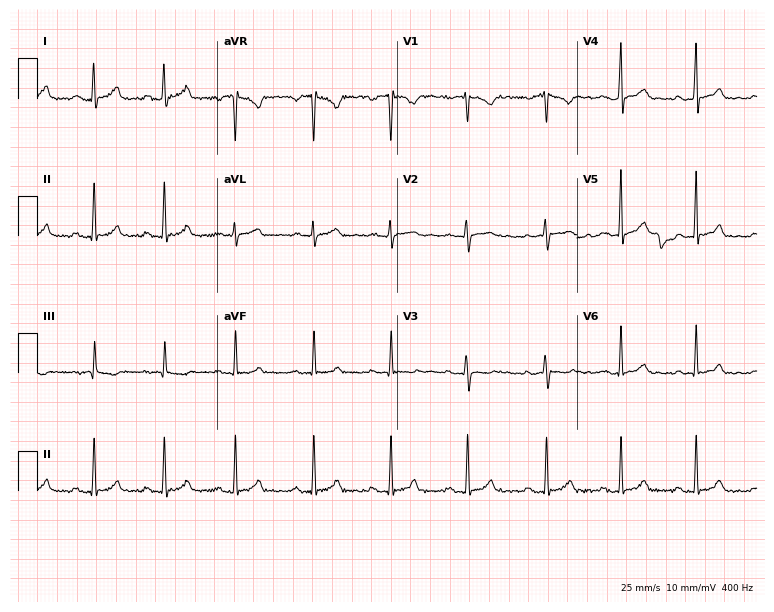
12-lead ECG (7.3-second recording at 400 Hz) from a 31-year-old woman. Labelled as a normal ECG.